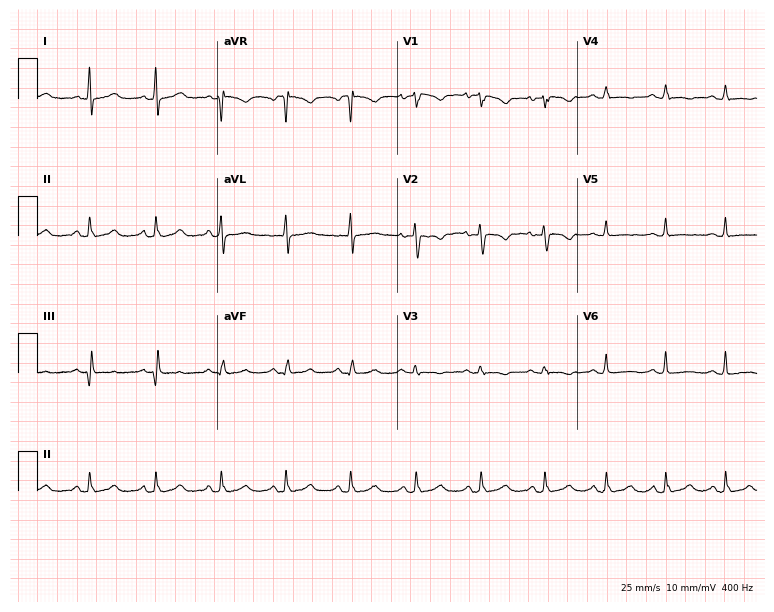
ECG (7.3-second recording at 400 Hz) — a 48-year-old female. Screened for six findings — first-degree AV block, right bundle branch block (RBBB), left bundle branch block (LBBB), sinus bradycardia, atrial fibrillation (AF), sinus tachycardia — none is recorded.